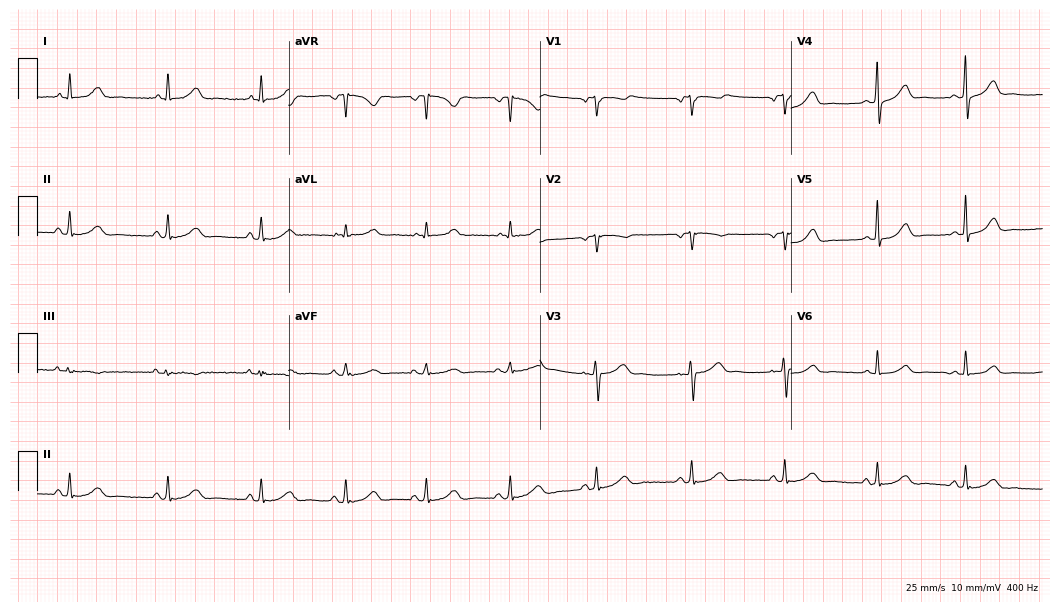
Standard 12-lead ECG recorded from a woman, 32 years old. Read as a normal ECG.